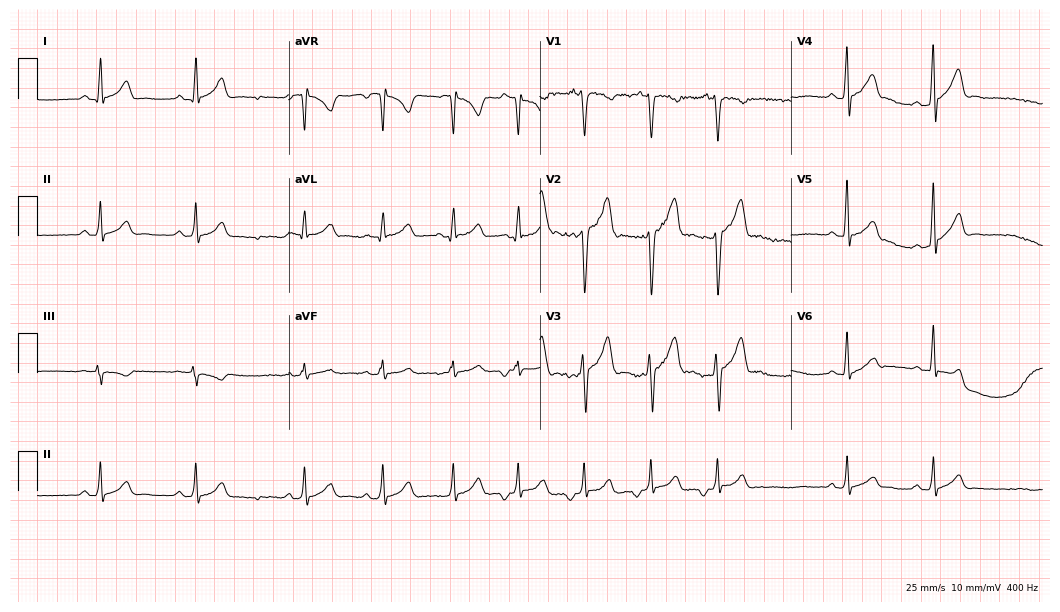
12-lead ECG from a male, 20 years old. Labelled as a normal ECG.